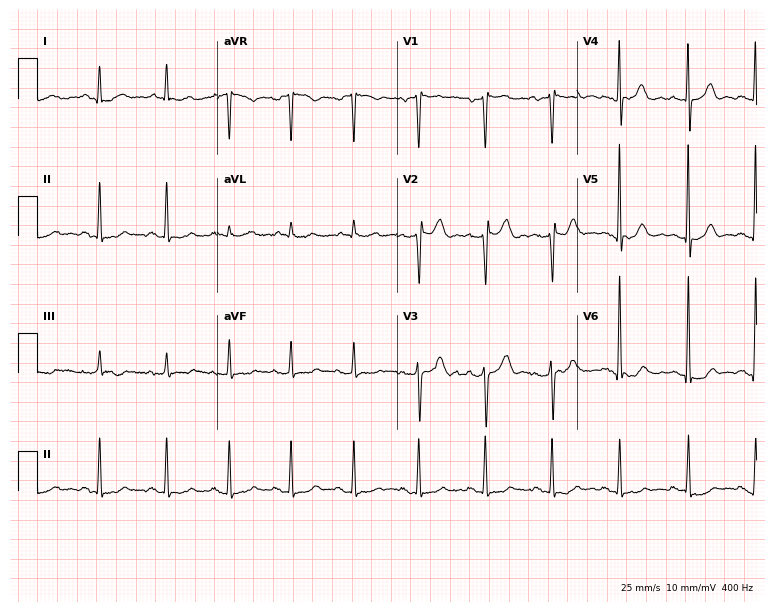
Electrocardiogram, a man, 53 years old. Of the six screened findings (first-degree AV block, right bundle branch block, left bundle branch block, sinus bradycardia, atrial fibrillation, sinus tachycardia), none is recorded. Other findings, if any, are not listed.